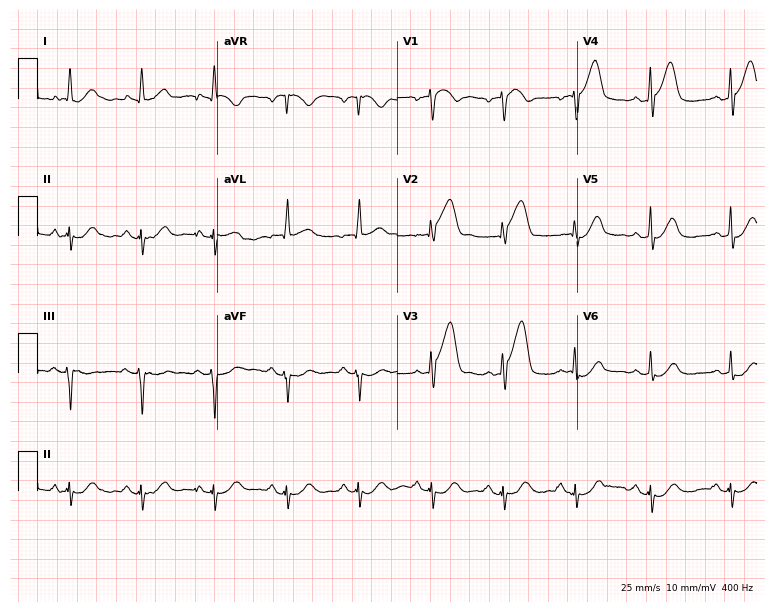
Standard 12-lead ECG recorded from a 64-year-old man. None of these six findings is recorded: first-degree AV block, right bundle branch block (RBBB), left bundle branch block (LBBB), sinus bradycardia, atrial fibrillation (AF), sinus tachycardia. Findings outside these six are not listed.